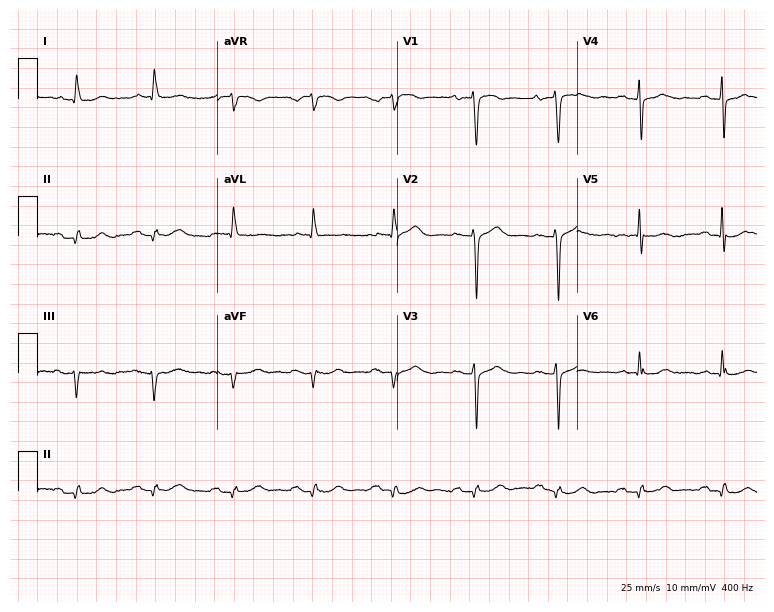
Standard 12-lead ECG recorded from a man, 74 years old. None of these six findings is recorded: first-degree AV block, right bundle branch block (RBBB), left bundle branch block (LBBB), sinus bradycardia, atrial fibrillation (AF), sinus tachycardia.